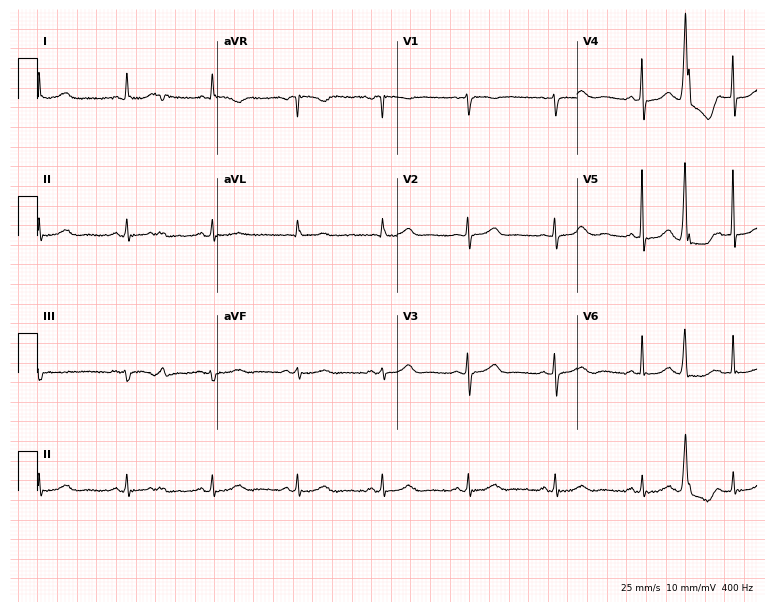
Electrocardiogram, an 80-year-old female. Overall reading on record: normal ECG.